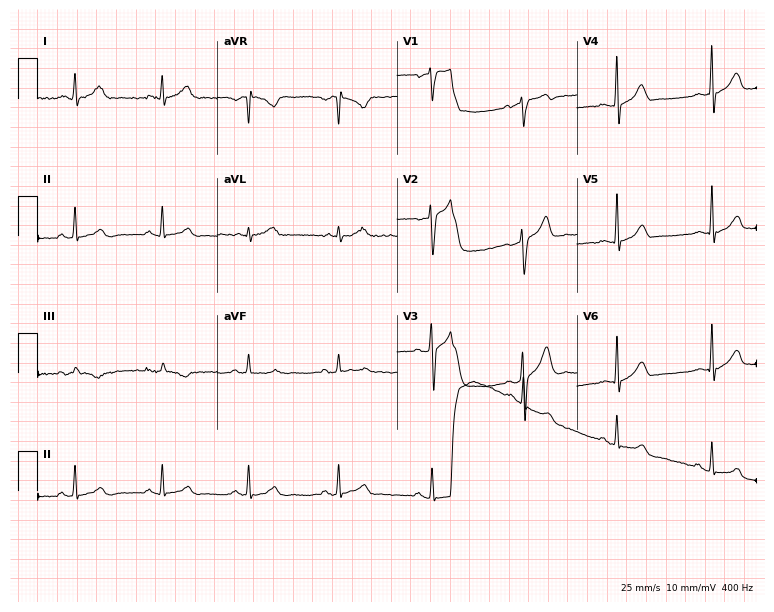
12-lead ECG from a male patient, 36 years old. Screened for six findings — first-degree AV block, right bundle branch block, left bundle branch block, sinus bradycardia, atrial fibrillation, sinus tachycardia — none is recorded.